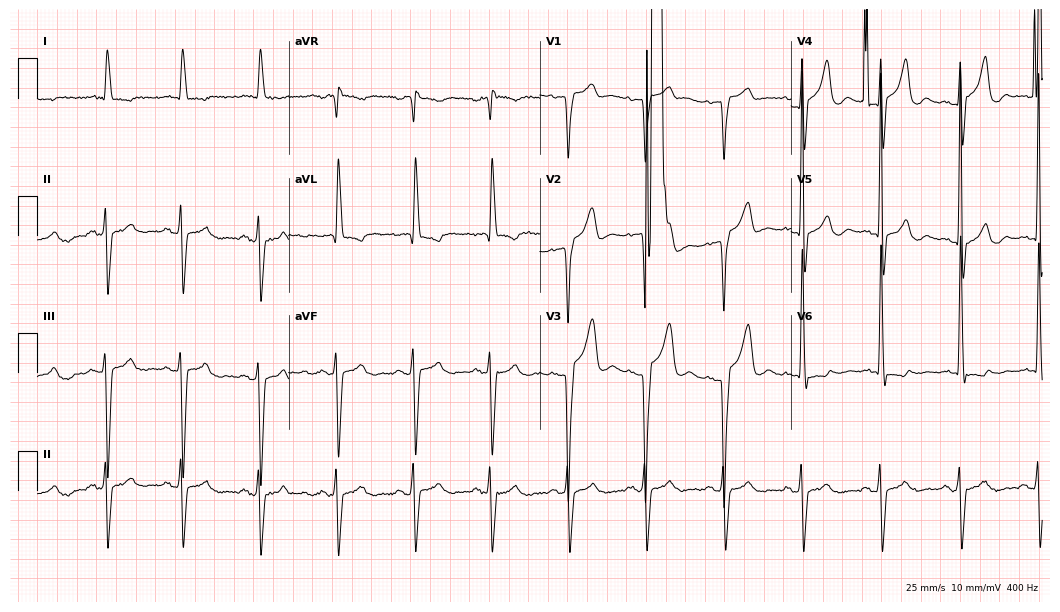
Resting 12-lead electrocardiogram (10.2-second recording at 400 Hz). Patient: a 64-year-old male. None of these six findings is recorded: first-degree AV block, right bundle branch block (RBBB), left bundle branch block (LBBB), sinus bradycardia, atrial fibrillation (AF), sinus tachycardia.